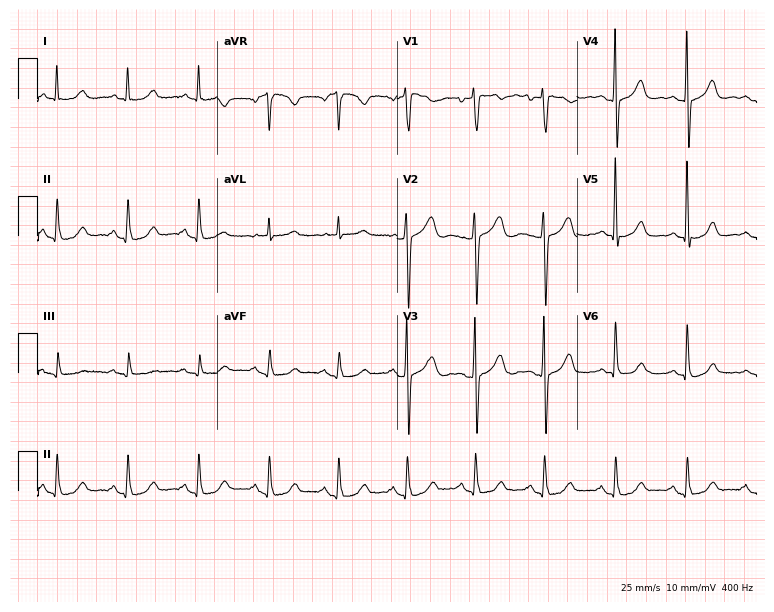
12-lead ECG from a 65-year-old female patient. Recorded interpretation: within normal limits.